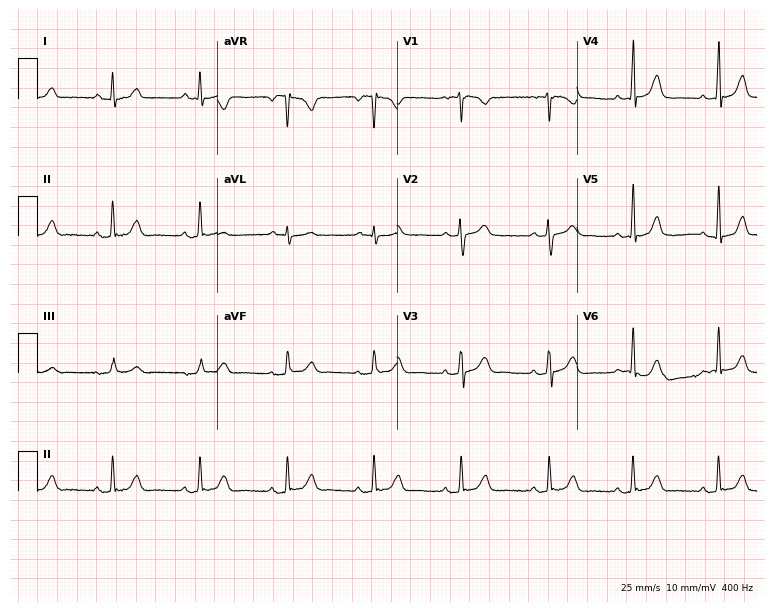
12-lead ECG from a female, 36 years old (7.3-second recording at 400 Hz). Recorded interpretation: within normal limits.